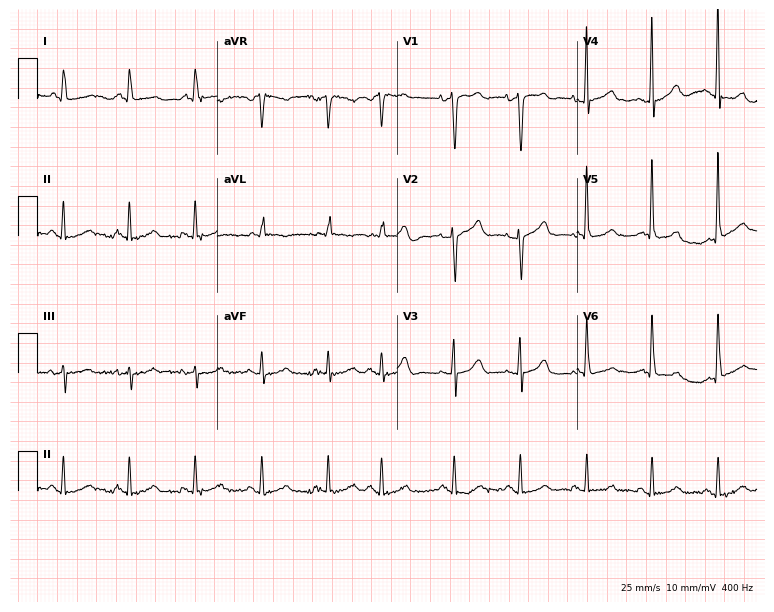
12-lead ECG from a female patient, 84 years old (7.3-second recording at 400 Hz). No first-degree AV block, right bundle branch block (RBBB), left bundle branch block (LBBB), sinus bradycardia, atrial fibrillation (AF) or sinus tachycardia recorded for this tracing. Only these six findings were labelled.